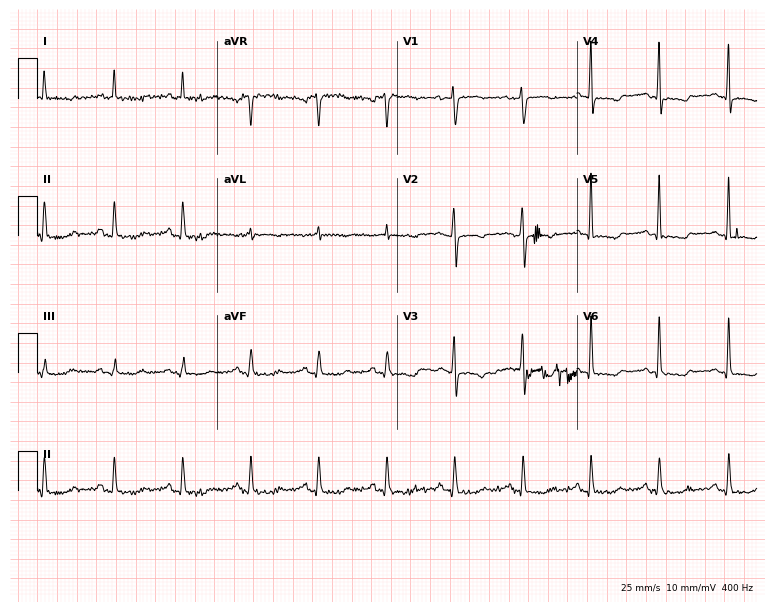
ECG (7.3-second recording at 400 Hz) — a woman, 58 years old. Screened for six findings — first-degree AV block, right bundle branch block (RBBB), left bundle branch block (LBBB), sinus bradycardia, atrial fibrillation (AF), sinus tachycardia — none is recorded.